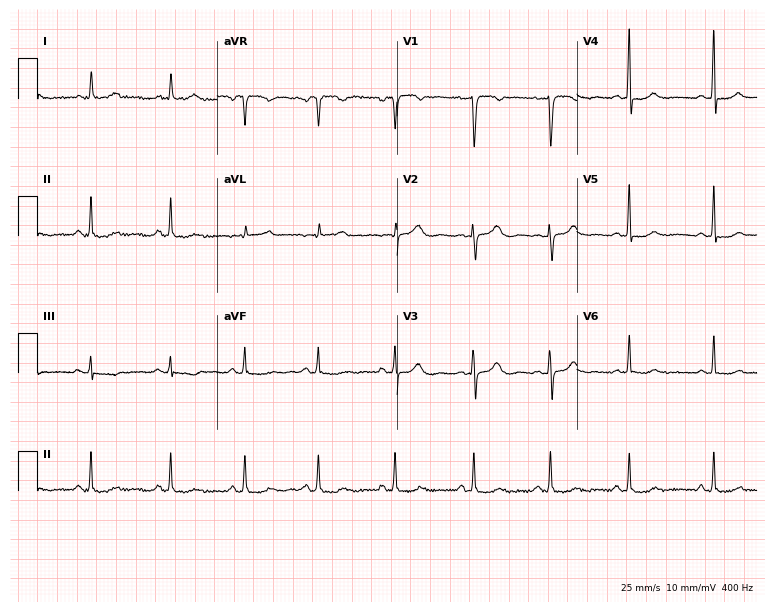
Resting 12-lead electrocardiogram (7.3-second recording at 400 Hz). Patient: a 33-year-old woman. Read as a normal ECG.